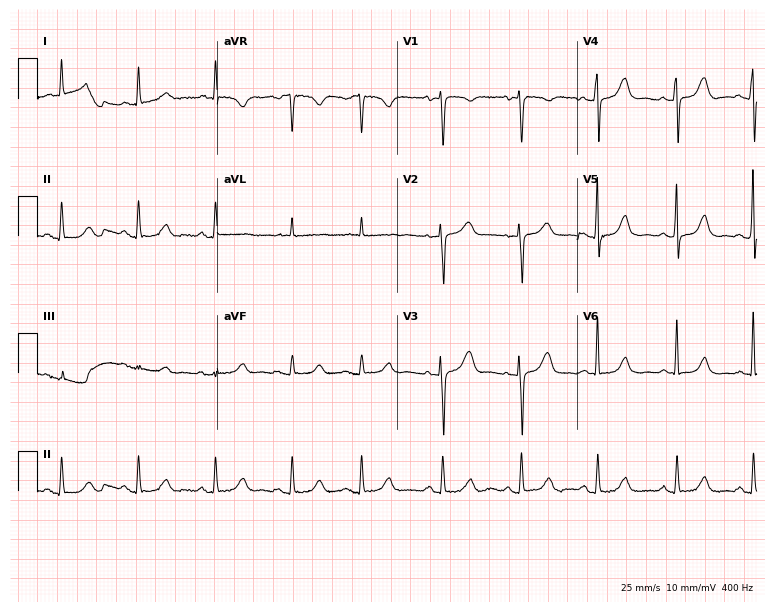
12-lead ECG from a 69-year-old female patient. Screened for six findings — first-degree AV block, right bundle branch block, left bundle branch block, sinus bradycardia, atrial fibrillation, sinus tachycardia — none is recorded. Other findings, if any, are not listed.